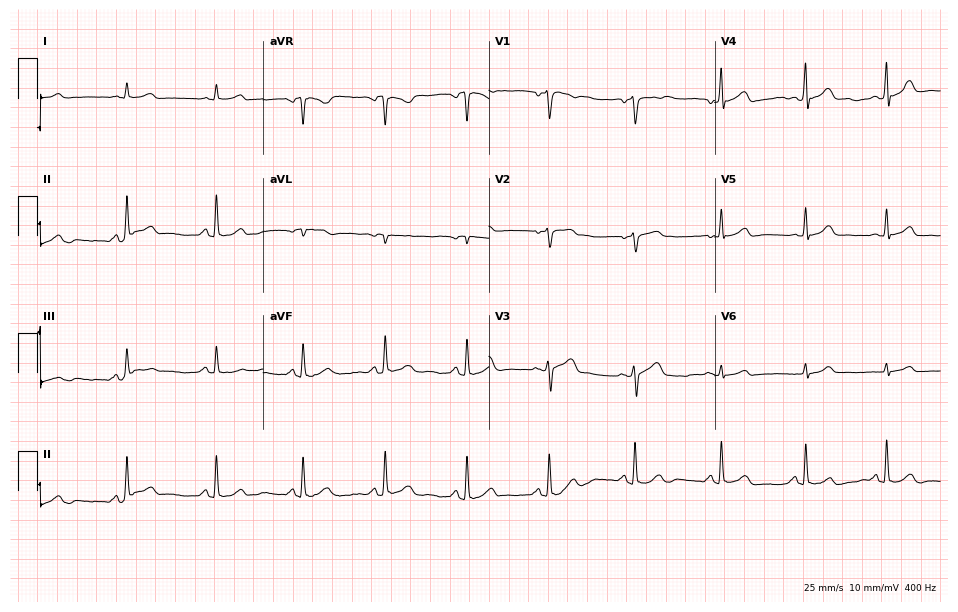
ECG — a man, 54 years old. Labelled as a normal ECG.